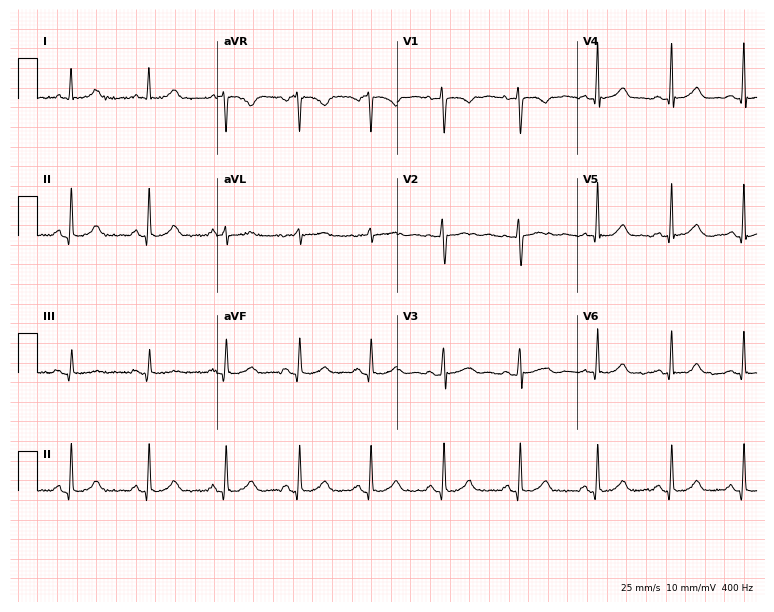
12-lead ECG (7.3-second recording at 400 Hz) from a 39-year-old female. Labelled as a normal ECG.